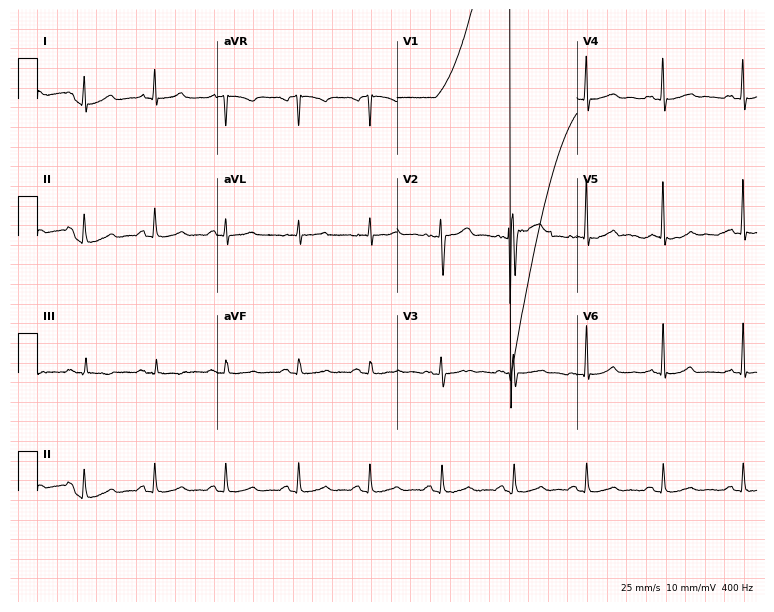
12-lead ECG from a 55-year-old male. No first-degree AV block, right bundle branch block (RBBB), left bundle branch block (LBBB), sinus bradycardia, atrial fibrillation (AF) or sinus tachycardia recorded for this tracing. Findings outside these six are not listed.